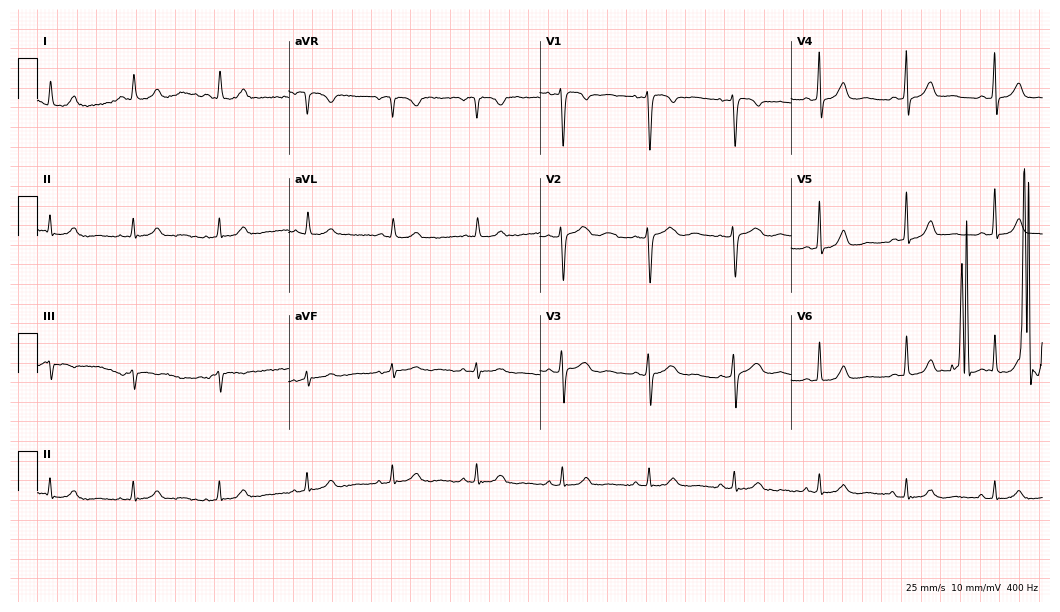
12-lead ECG from a female, 44 years old. Screened for six findings — first-degree AV block, right bundle branch block, left bundle branch block, sinus bradycardia, atrial fibrillation, sinus tachycardia — none is recorded.